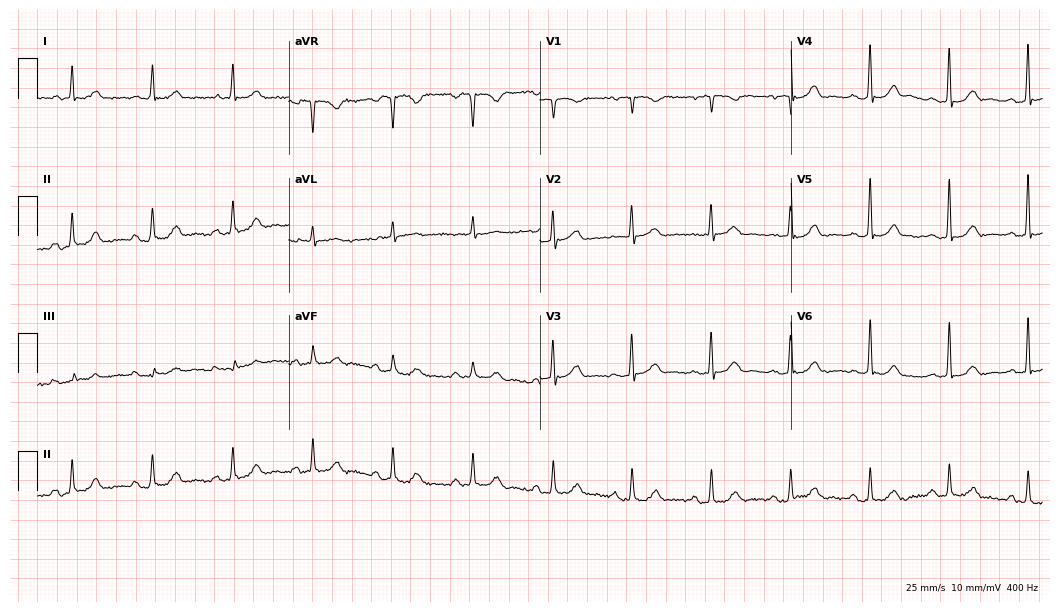
Standard 12-lead ECG recorded from an 81-year-old male patient (10.2-second recording at 400 Hz). None of these six findings is recorded: first-degree AV block, right bundle branch block (RBBB), left bundle branch block (LBBB), sinus bradycardia, atrial fibrillation (AF), sinus tachycardia.